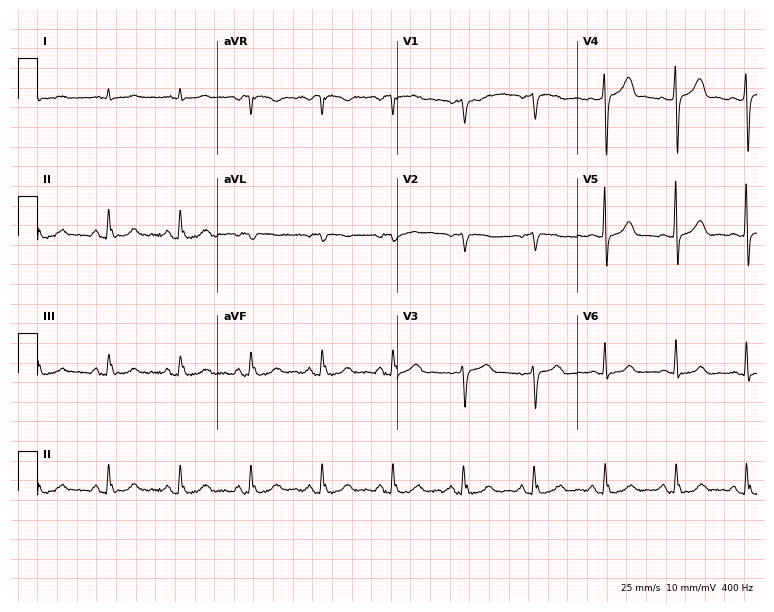
12-lead ECG from a 75-year-old male patient. No first-degree AV block, right bundle branch block (RBBB), left bundle branch block (LBBB), sinus bradycardia, atrial fibrillation (AF) or sinus tachycardia recorded for this tracing.